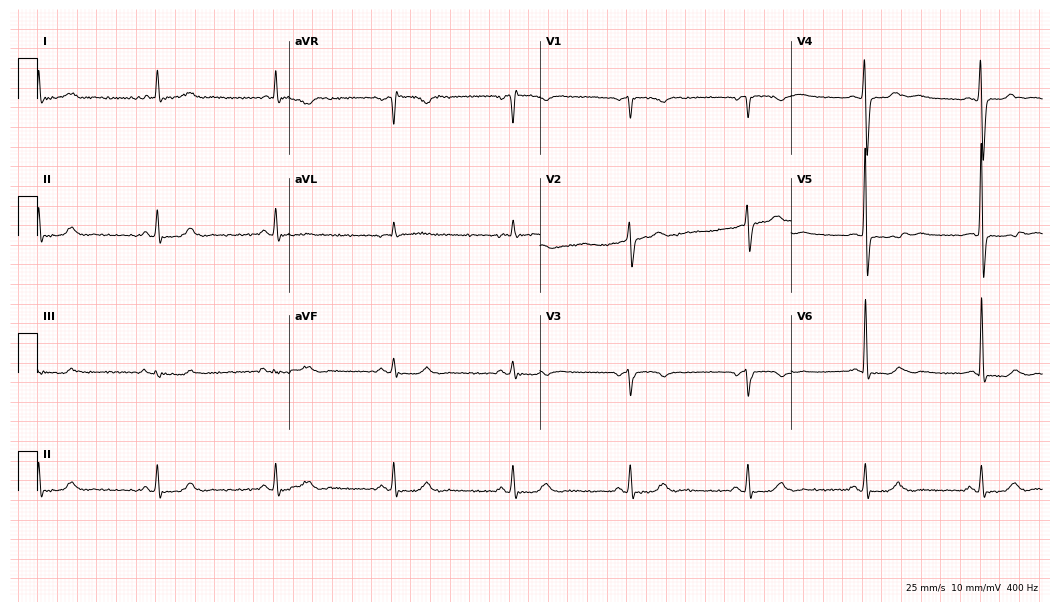
12-lead ECG (10.2-second recording at 400 Hz) from a 65-year-old man. Labelled as a normal ECG.